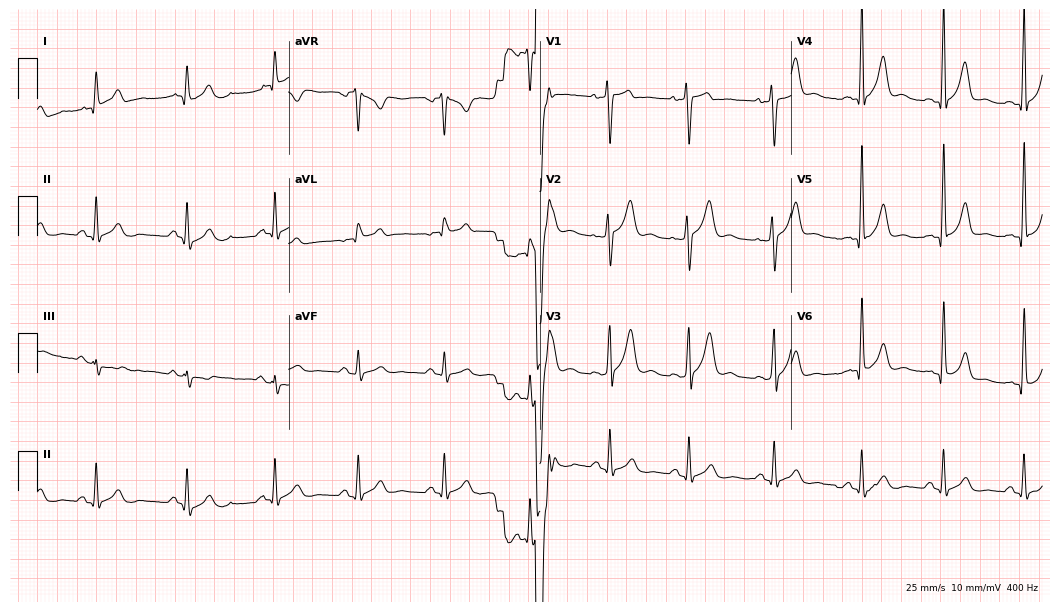
12-lead ECG (10.2-second recording at 400 Hz) from a man, 33 years old. Screened for six findings — first-degree AV block, right bundle branch block, left bundle branch block, sinus bradycardia, atrial fibrillation, sinus tachycardia — none is recorded. Other findings, if any, are not listed.